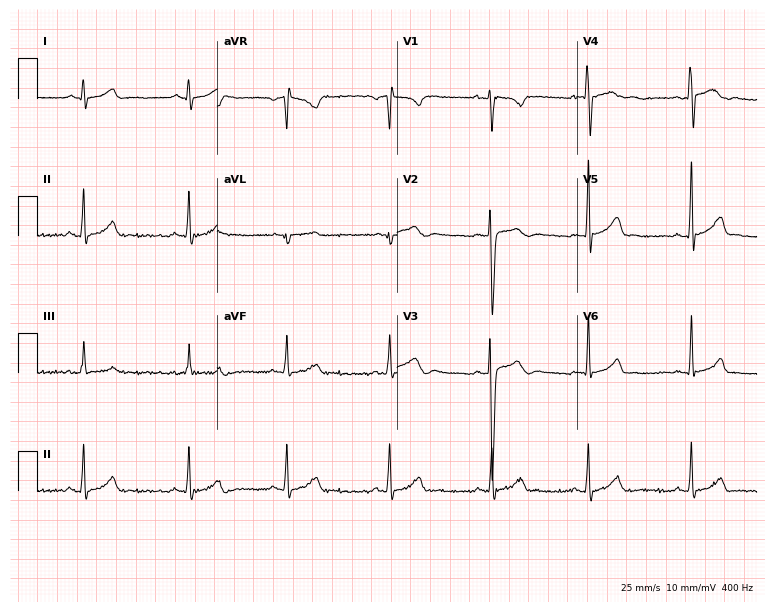
Standard 12-lead ECG recorded from a 20-year-old male patient. Read as a normal ECG.